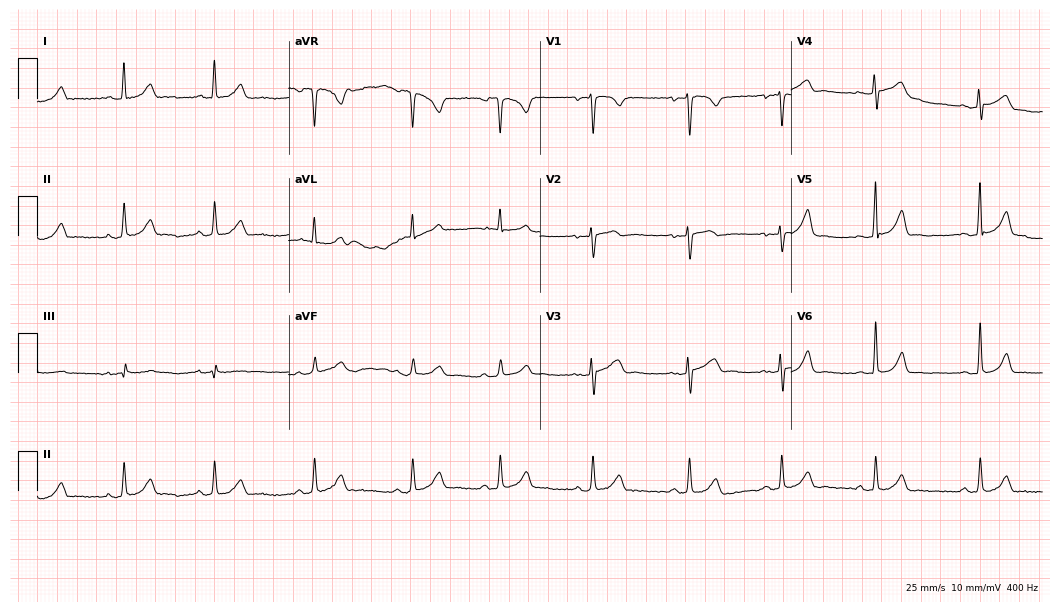
Electrocardiogram (10.2-second recording at 400 Hz), a female patient, 22 years old. Of the six screened findings (first-degree AV block, right bundle branch block, left bundle branch block, sinus bradycardia, atrial fibrillation, sinus tachycardia), none is recorded.